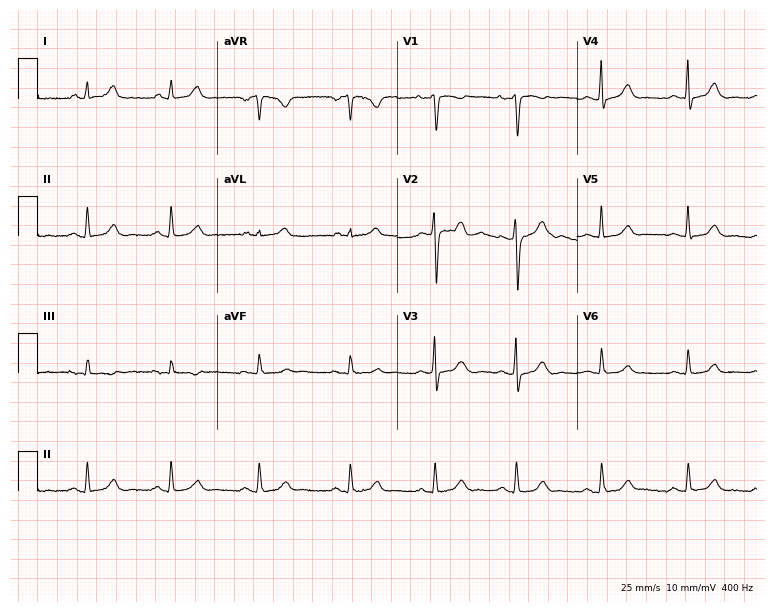
12-lead ECG from a female patient, 33 years old. Labelled as a normal ECG.